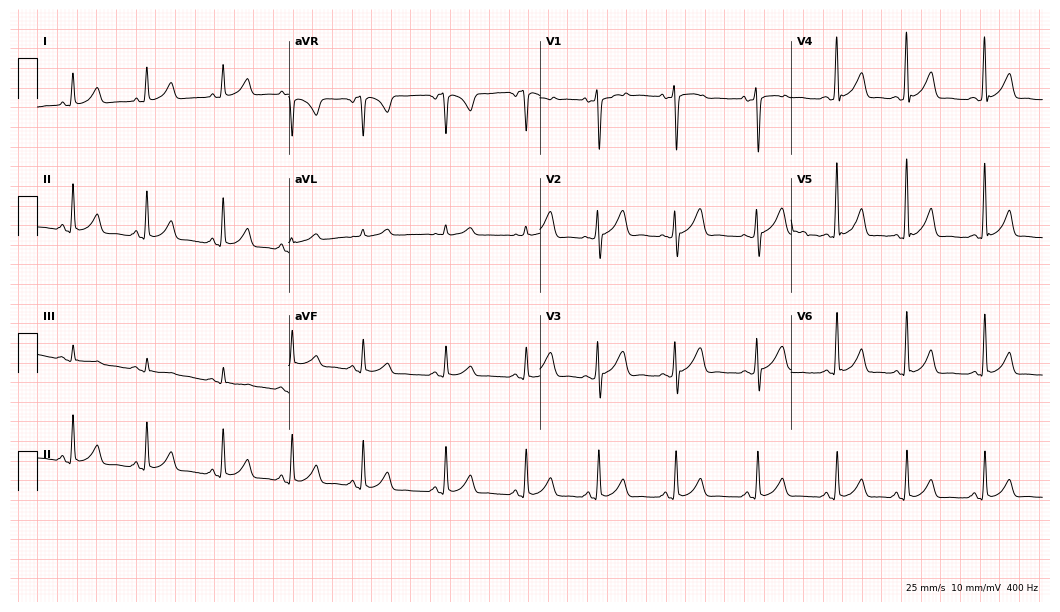
Standard 12-lead ECG recorded from a female patient, 23 years old. Read as a normal ECG.